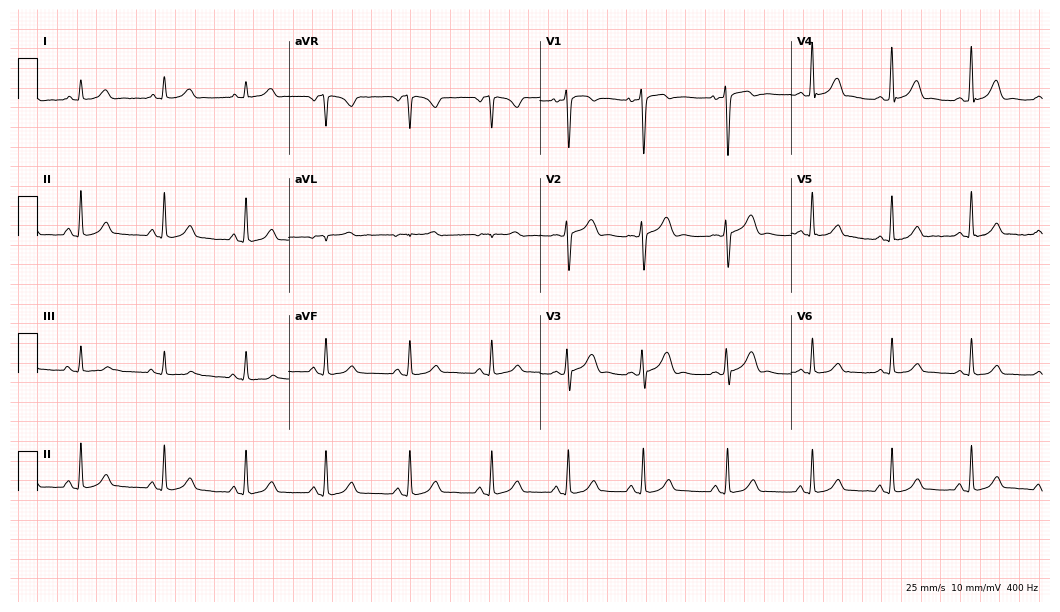
Electrocardiogram, a 39-year-old woman. Overall reading on record: normal ECG.